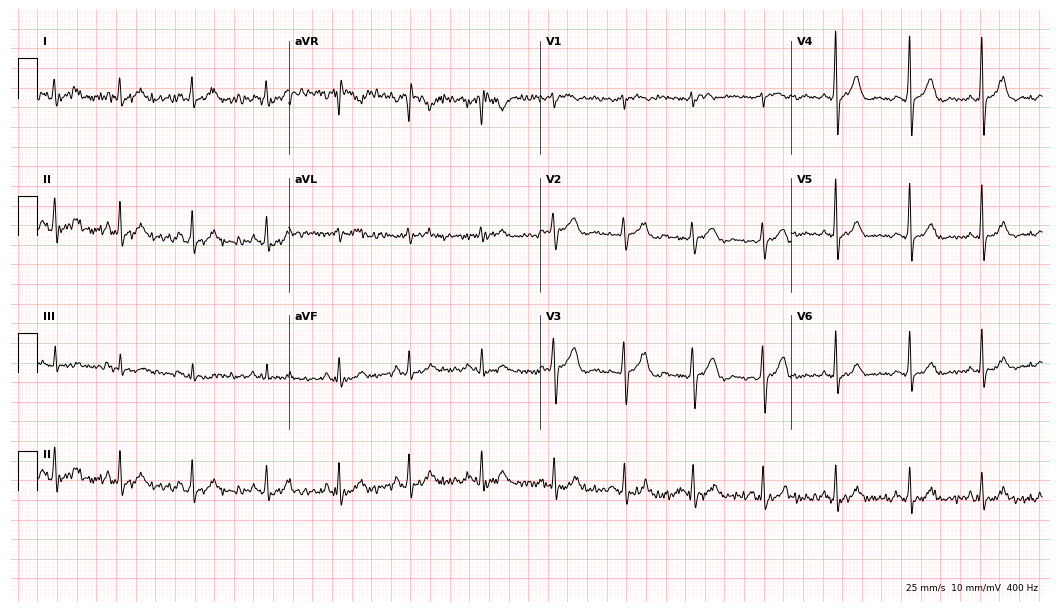
Standard 12-lead ECG recorded from a woman, 30 years old. Read as a normal ECG.